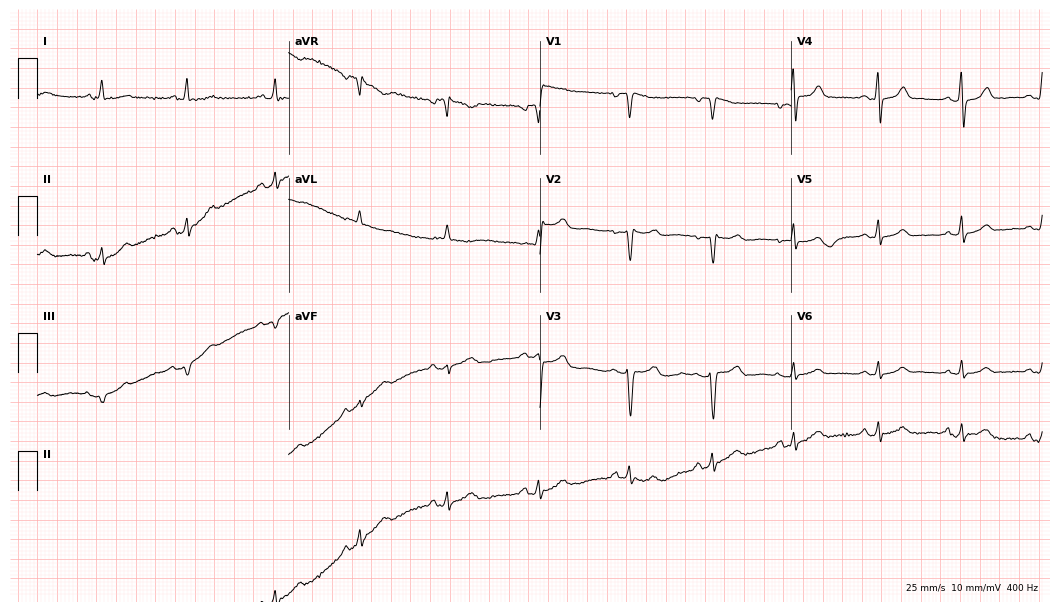
Electrocardiogram (10.2-second recording at 400 Hz), a 47-year-old female patient. Overall reading on record: normal ECG.